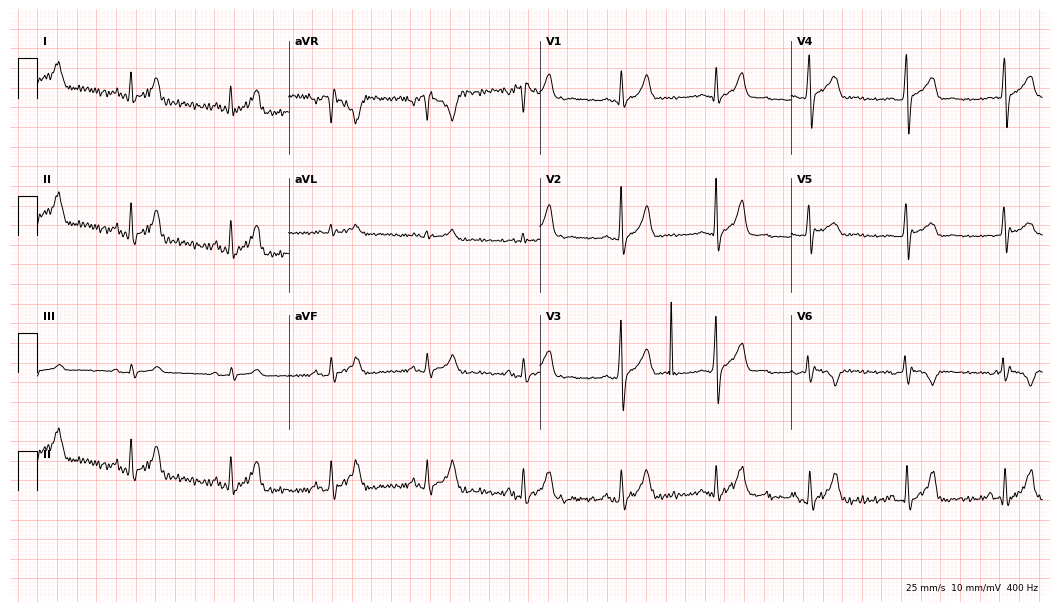
Standard 12-lead ECG recorded from a male patient, 19 years old (10.2-second recording at 400 Hz). None of these six findings is recorded: first-degree AV block, right bundle branch block, left bundle branch block, sinus bradycardia, atrial fibrillation, sinus tachycardia.